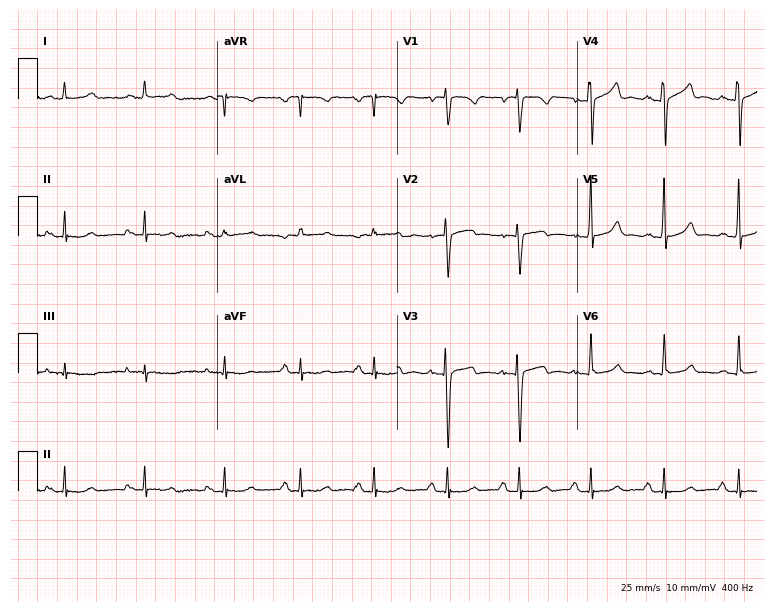
12-lead ECG from a 70-year-old male. Labelled as a normal ECG.